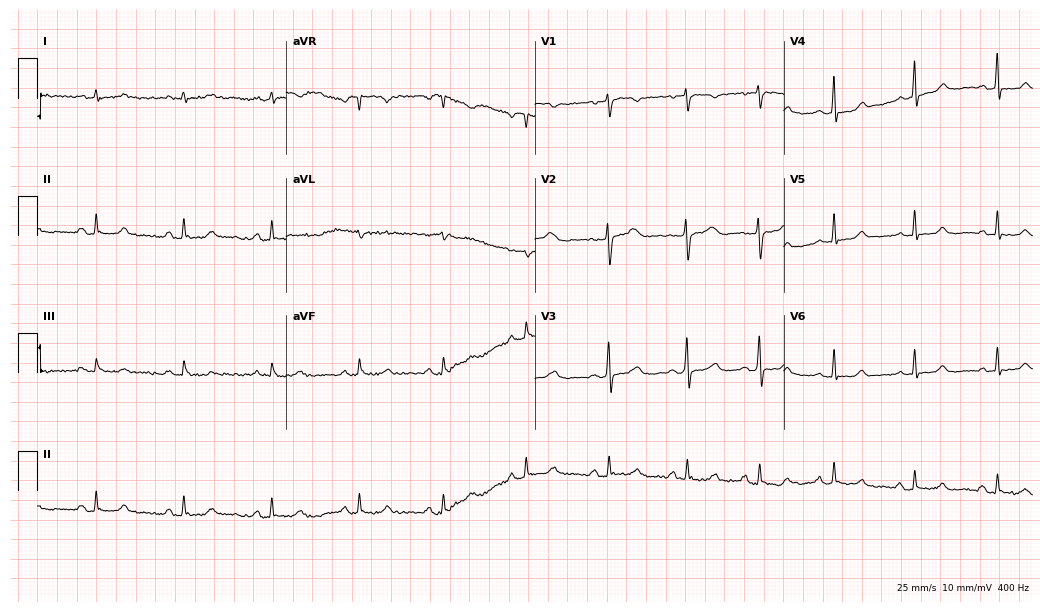
Resting 12-lead electrocardiogram (10.1-second recording at 400 Hz). Patient: a 39-year-old woman. None of these six findings is recorded: first-degree AV block, right bundle branch block (RBBB), left bundle branch block (LBBB), sinus bradycardia, atrial fibrillation (AF), sinus tachycardia.